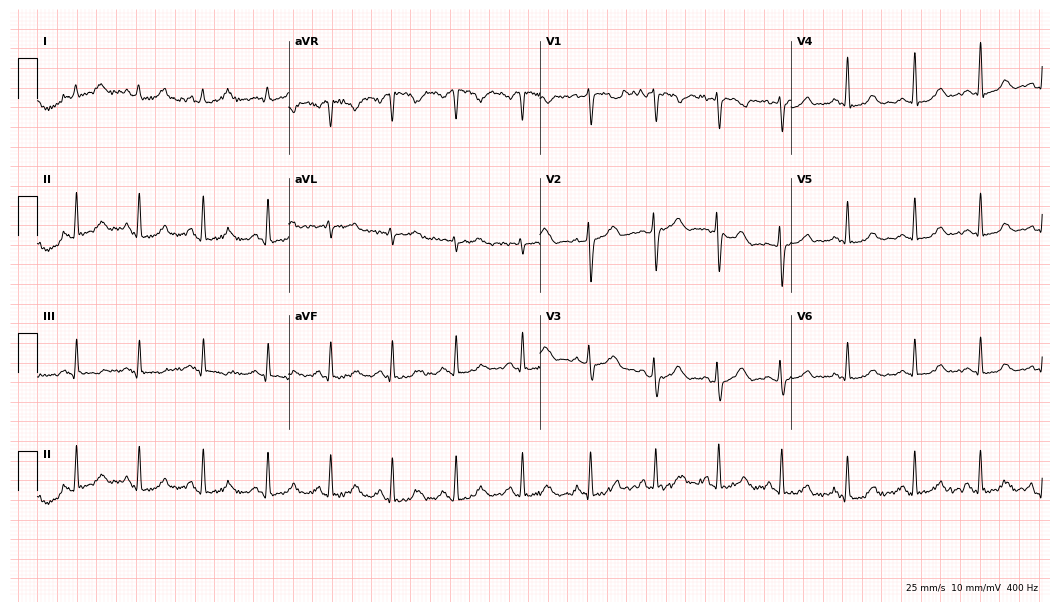
Electrocardiogram (10.2-second recording at 400 Hz), a female patient, 23 years old. Of the six screened findings (first-degree AV block, right bundle branch block, left bundle branch block, sinus bradycardia, atrial fibrillation, sinus tachycardia), none is recorded.